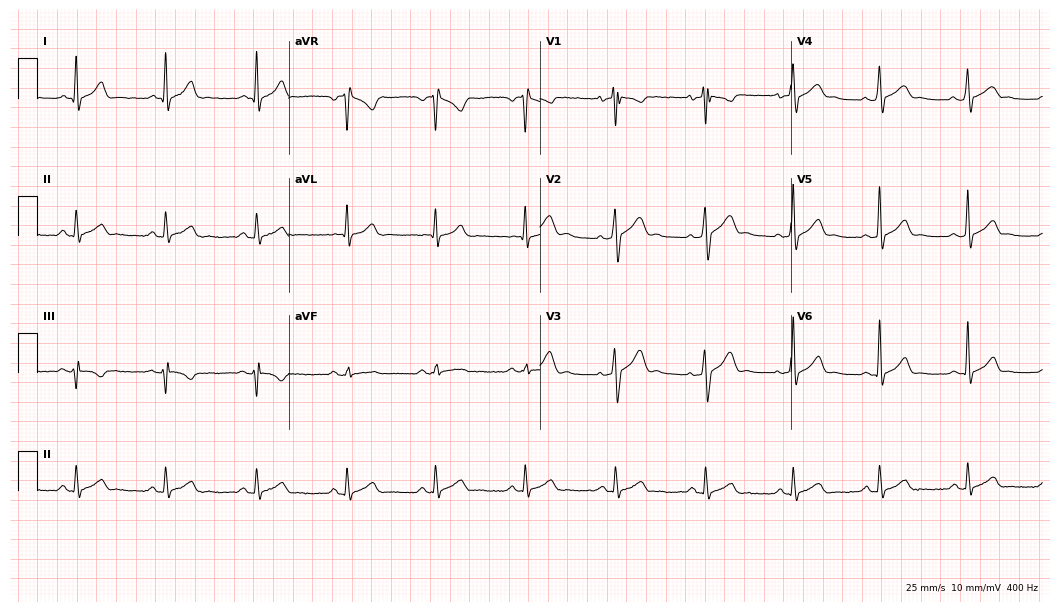
ECG (10.2-second recording at 400 Hz) — a 36-year-old man. Labelled as a normal ECG.